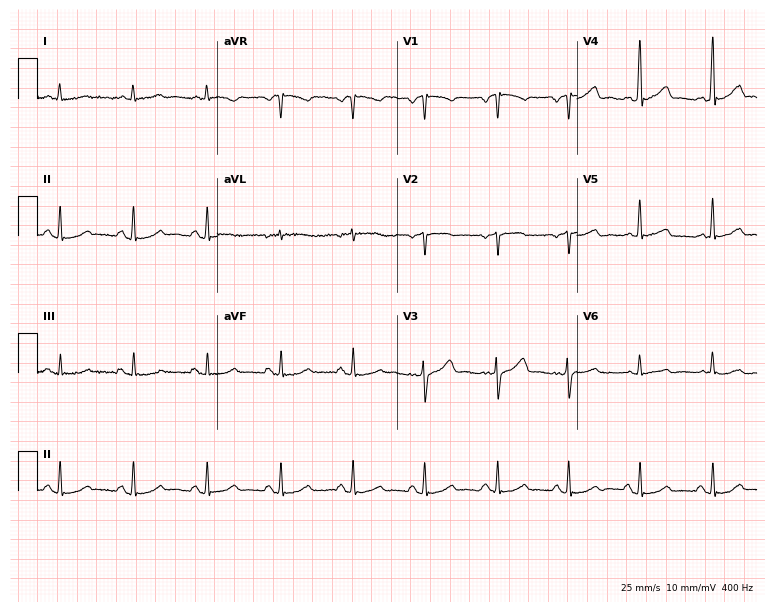
Electrocardiogram (7.3-second recording at 400 Hz), a 49-year-old male patient. Of the six screened findings (first-degree AV block, right bundle branch block, left bundle branch block, sinus bradycardia, atrial fibrillation, sinus tachycardia), none is recorded.